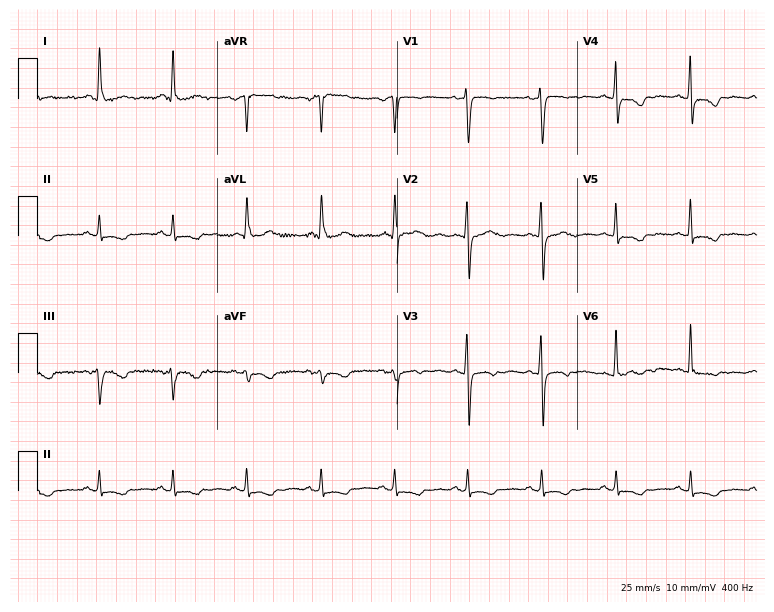
Electrocardiogram (7.3-second recording at 400 Hz), a 59-year-old woman. Of the six screened findings (first-degree AV block, right bundle branch block (RBBB), left bundle branch block (LBBB), sinus bradycardia, atrial fibrillation (AF), sinus tachycardia), none is recorded. Other findings, if any, are not listed.